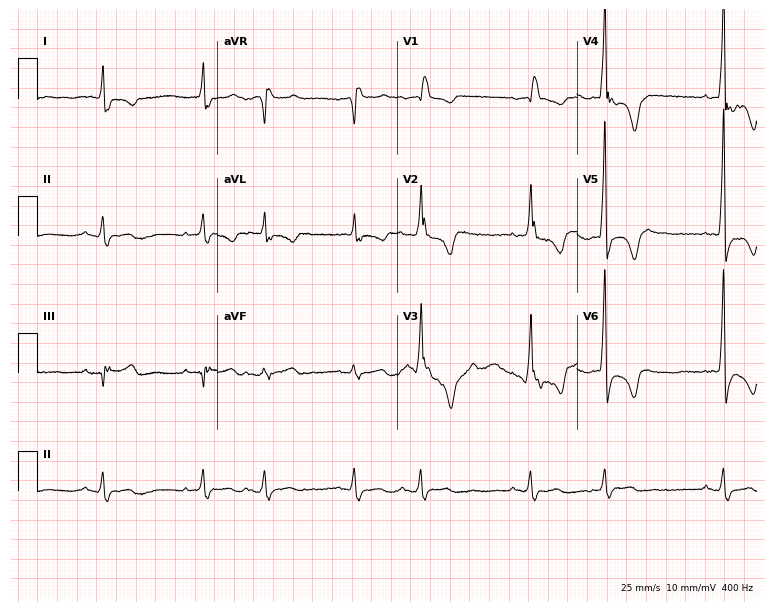
12-lead ECG from a 79-year-old male. Shows right bundle branch block, atrial fibrillation.